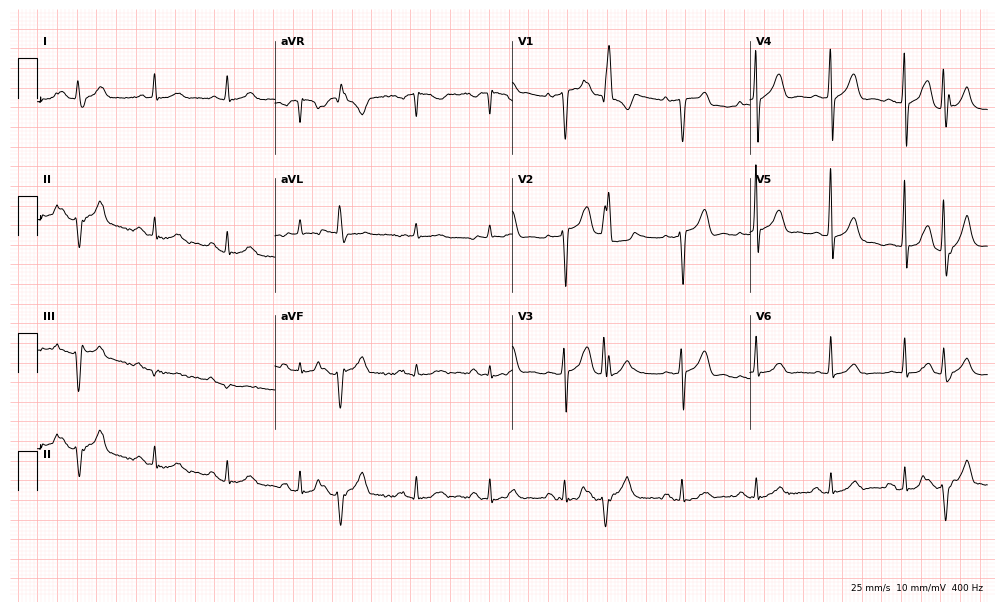
12-lead ECG from a female patient, 70 years old. Screened for six findings — first-degree AV block, right bundle branch block, left bundle branch block, sinus bradycardia, atrial fibrillation, sinus tachycardia — none is recorded. Findings outside these six are not listed.